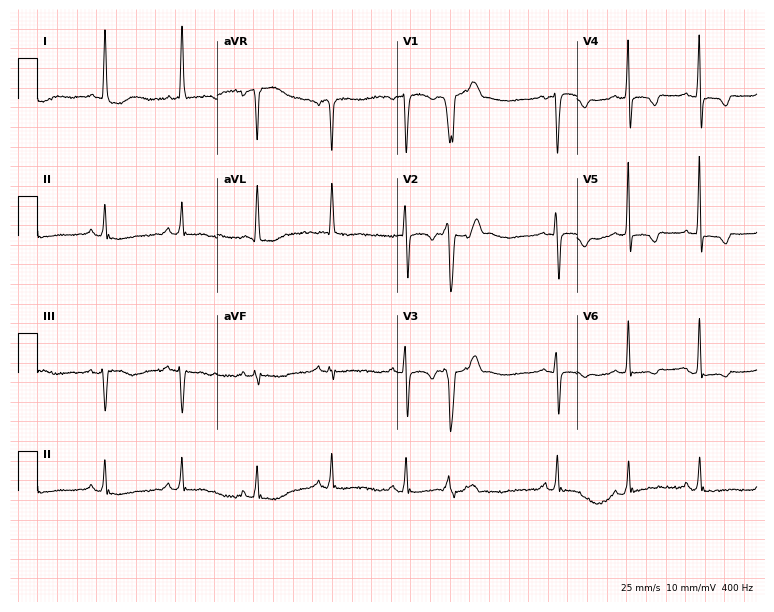
Electrocardiogram, an 85-year-old female. Of the six screened findings (first-degree AV block, right bundle branch block, left bundle branch block, sinus bradycardia, atrial fibrillation, sinus tachycardia), none is recorded.